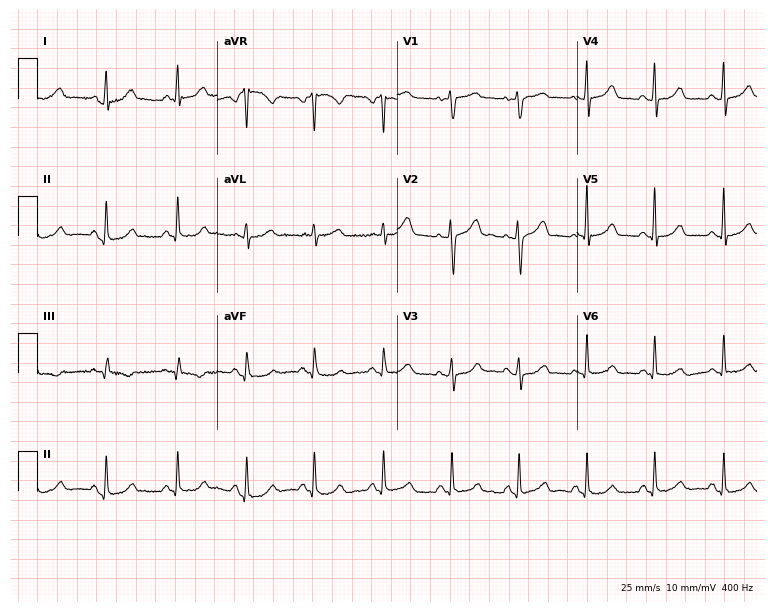
12-lead ECG from a 50-year-old female patient. Recorded interpretation: within normal limits.